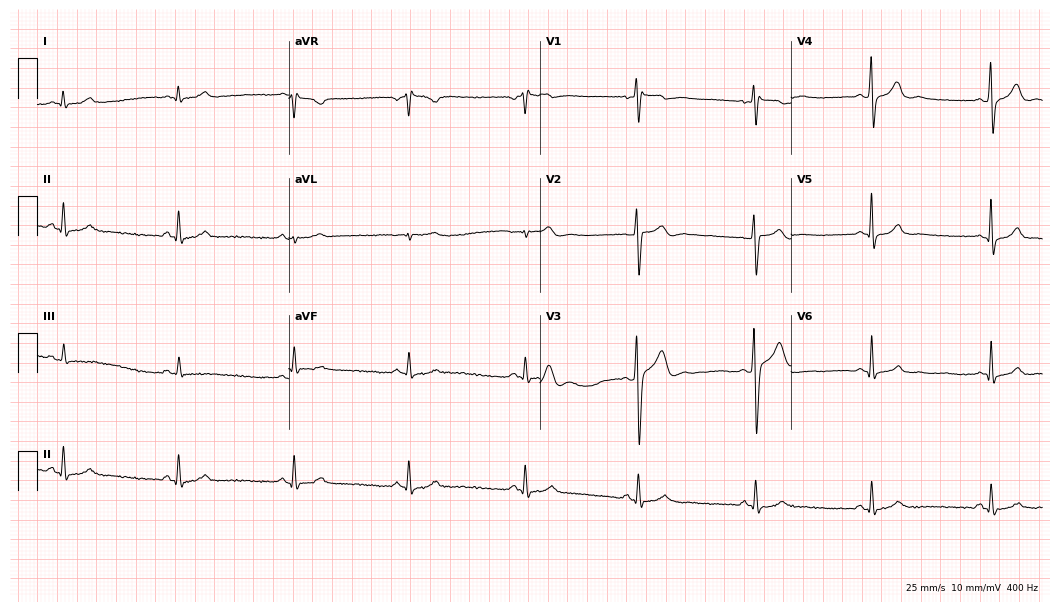
12-lead ECG from a 24-year-old man. Labelled as a normal ECG.